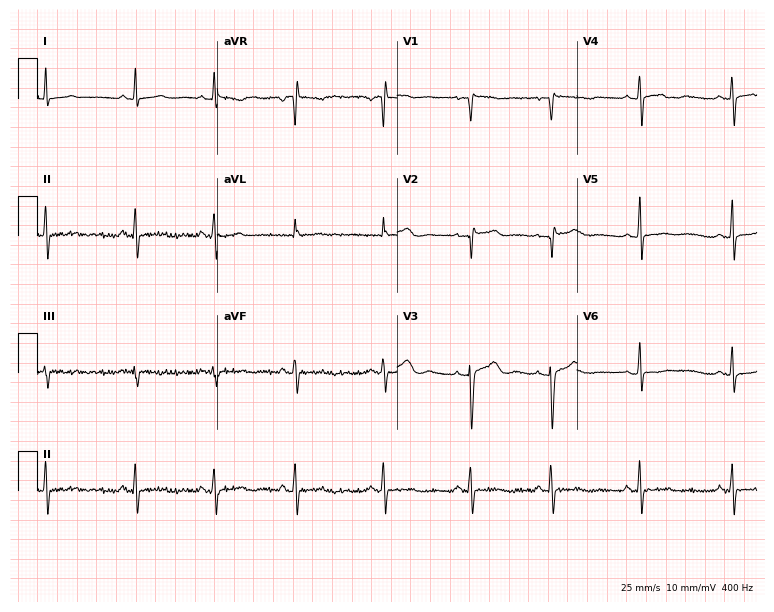
12-lead ECG (7.3-second recording at 400 Hz) from a 20-year-old female patient. Screened for six findings — first-degree AV block, right bundle branch block (RBBB), left bundle branch block (LBBB), sinus bradycardia, atrial fibrillation (AF), sinus tachycardia — none is recorded. Other findings, if any, are not listed.